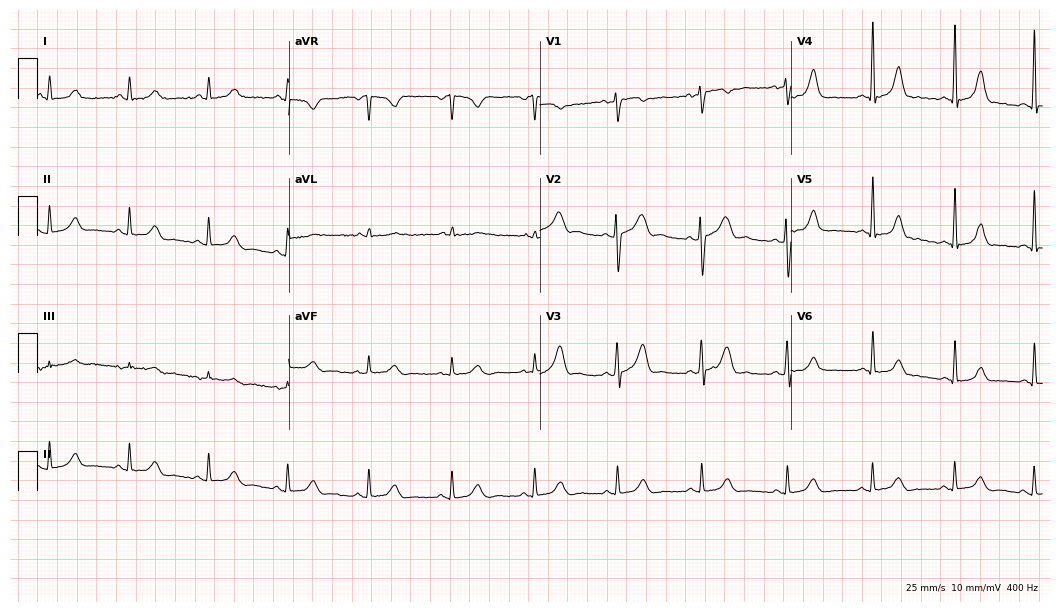
ECG (10.2-second recording at 400 Hz) — a woman, 26 years old. Screened for six findings — first-degree AV block, right bundle branch block, left bundle branch block, sinus bradycardia, atrial fibrillation, sinus tachycardia — none is recorded.